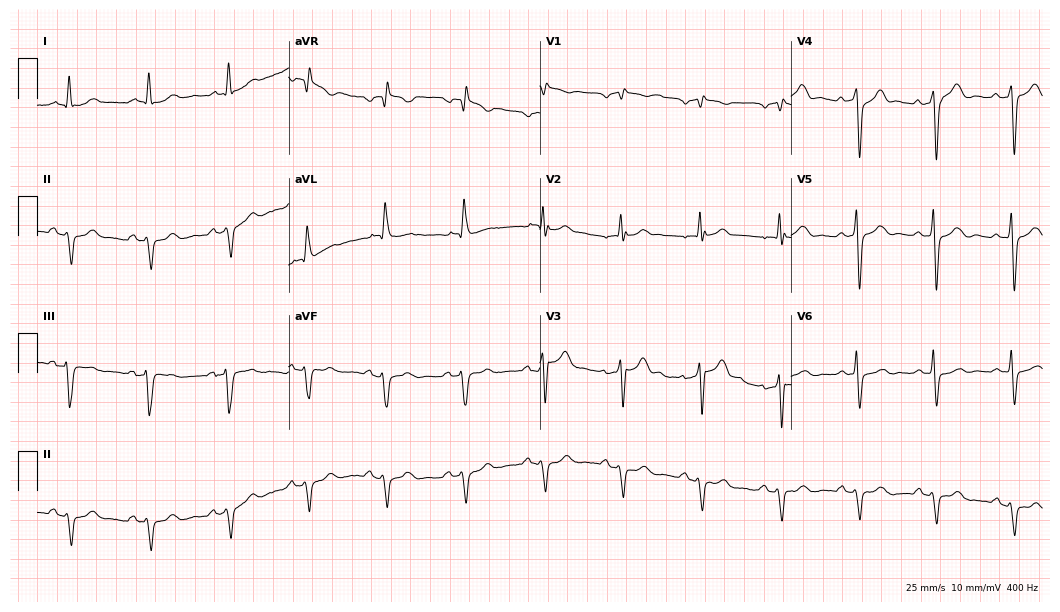
Resting 12-lead electrocardiogram (10.2-second recording at 400 Hz). Patient: a 70-year-old man. The tracing shows right bundle branch block.